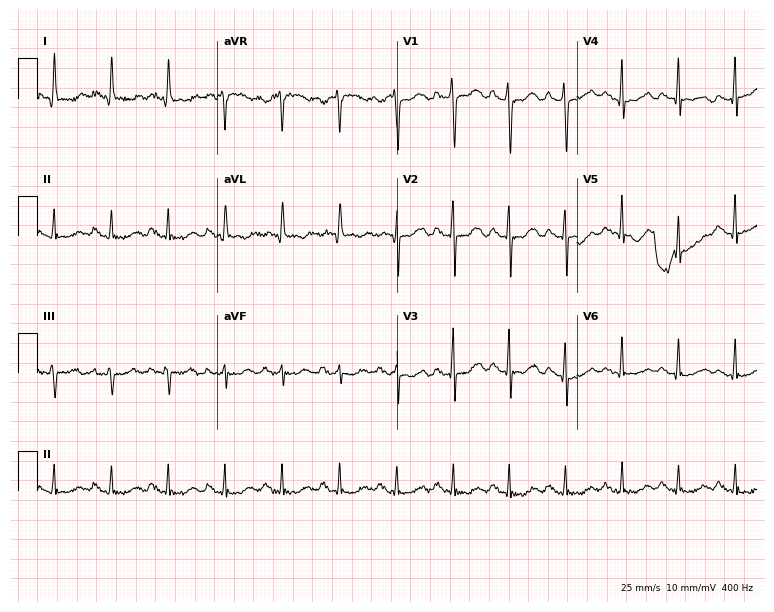
Electrocardiogram, a female, 66 years old. Interpretation includes sinus tachycardia (a sinus rate of 100 beats per minute or more).